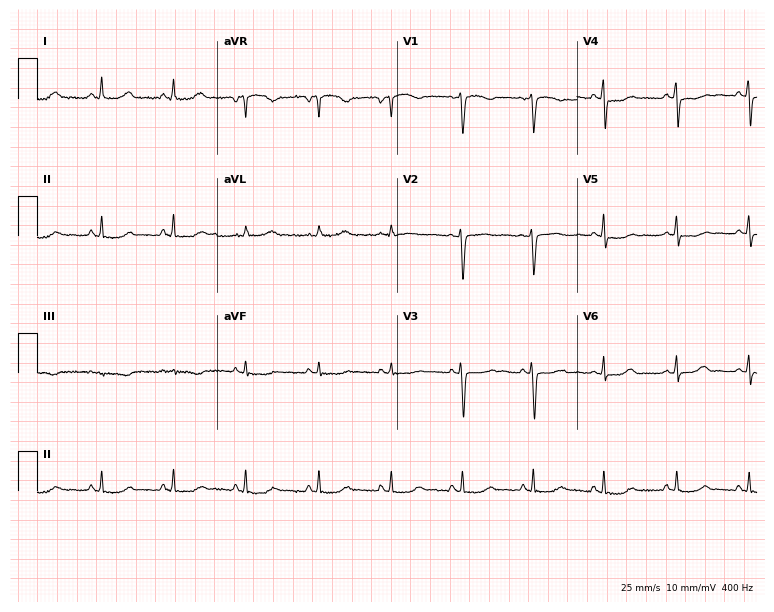
12-lead ECG from a female patient, 45 years old. No first-degree AV block, right bundle branch block, left bundle branch block, sinus bradycardia, atrial fibrillation or sinus tachycardia recorded for this tracing. Findings outside these six are not listed.